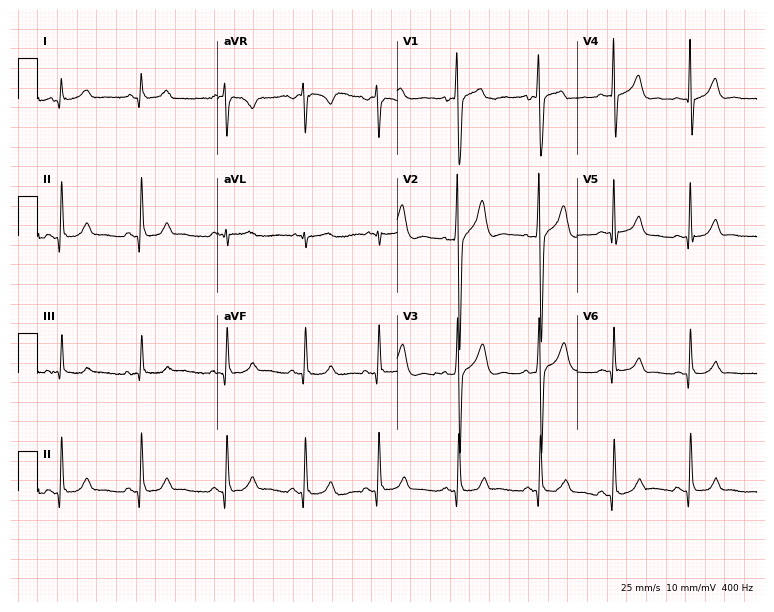
12-lead ECG from a male patient, 26 years old. Recorded interpretation: within normal limits.